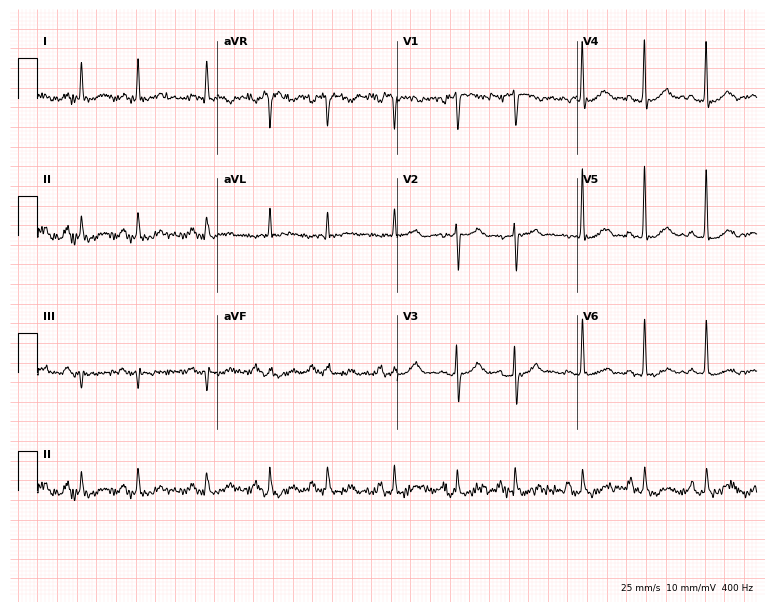
Electrocardiogram, a 68-year-old man. Of the six screened findings (first-degree AV block, right bundle branch block, left bundle branch block, sinus bradycardia, atrial fibrillation, sinus tachycardia), none is recorded.